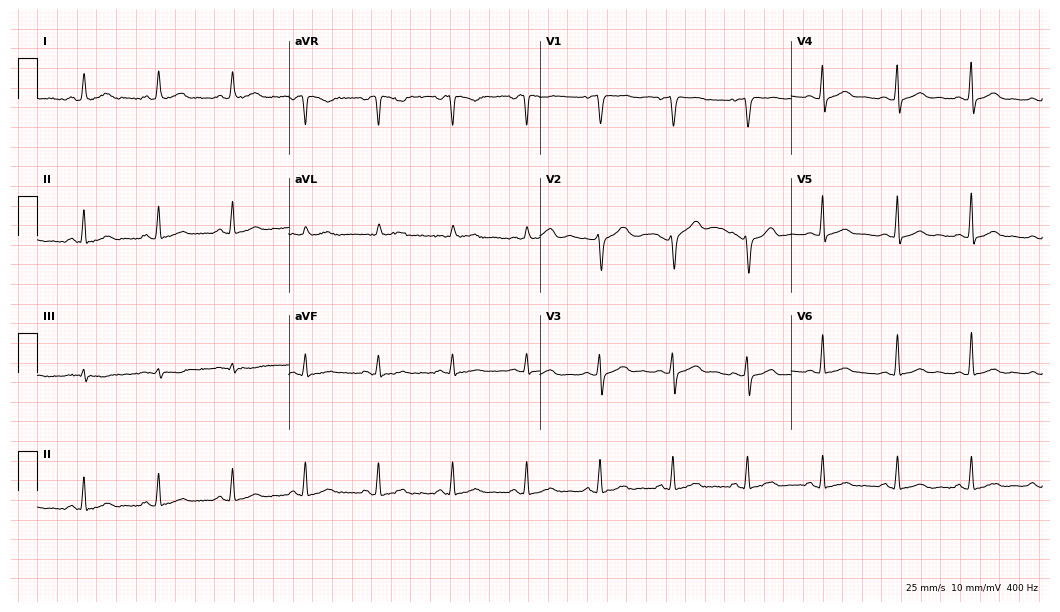
Resting 12-lead electrocardiogram. Patient: a 49-year-old woman. Read as a normal ECG.